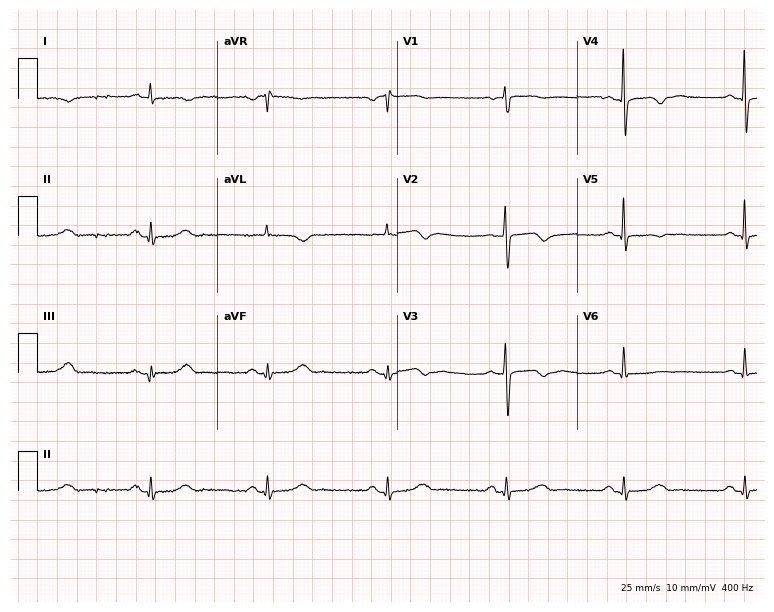
ECG — a 75-year-old female patient. Screened for six findings — first-degree AV block, right bundle branch block, left bundle branch block, sinus bradycardia, atrial fibrillation, sinus tachycardia — none is recorded.